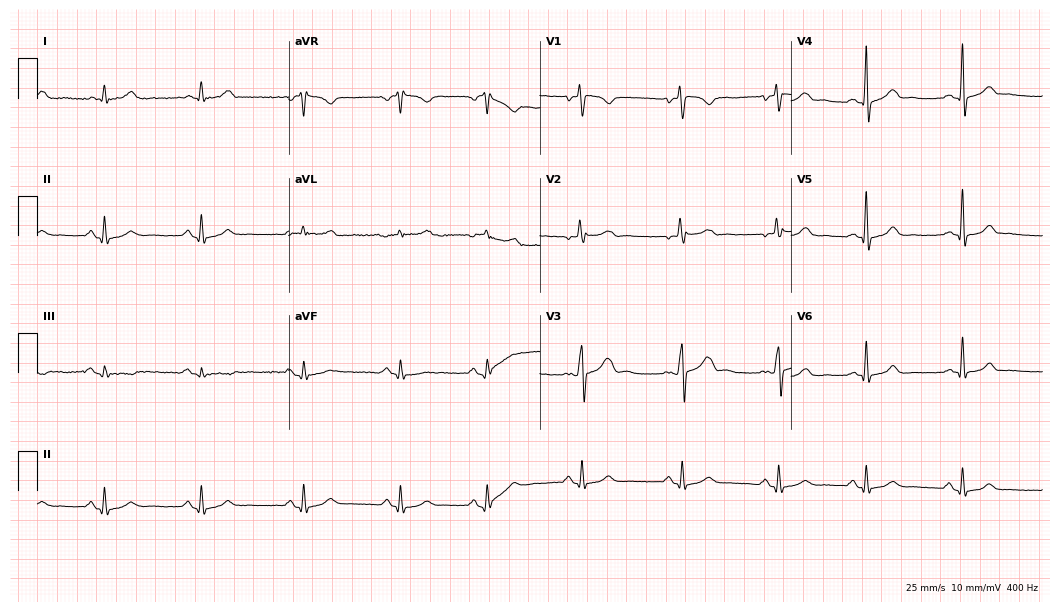
Electrocardiogram, a 36-year-old female patient. Overall reading on record: normal ECG.